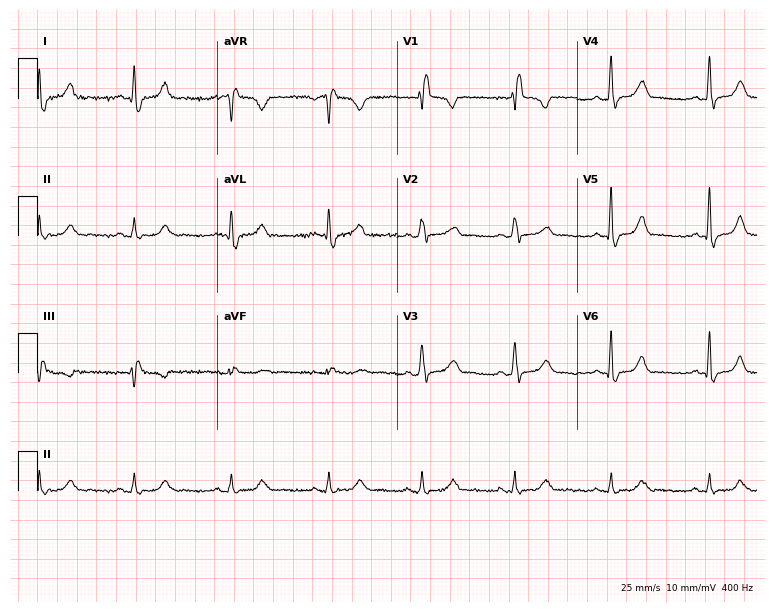
12-lead ECG from a female patient, 49 years old (7.3-second recording at 400 Hz). Shows right bundle branch block.